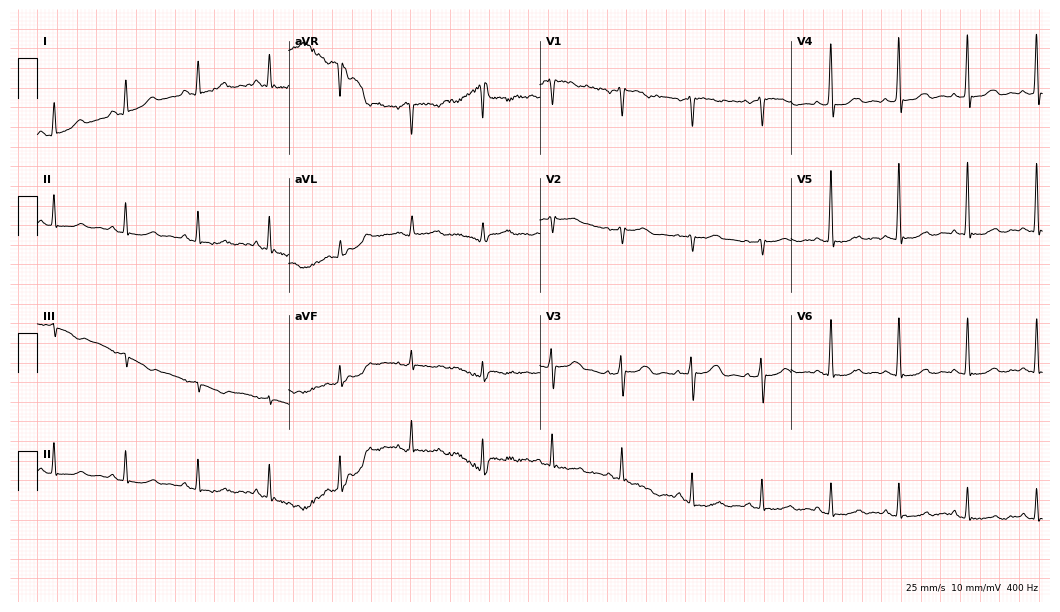
12-lead ECG from a female patient, 56 years old (10.2-second recording at 400 Hz). Recorded interpretation: within normal limits.